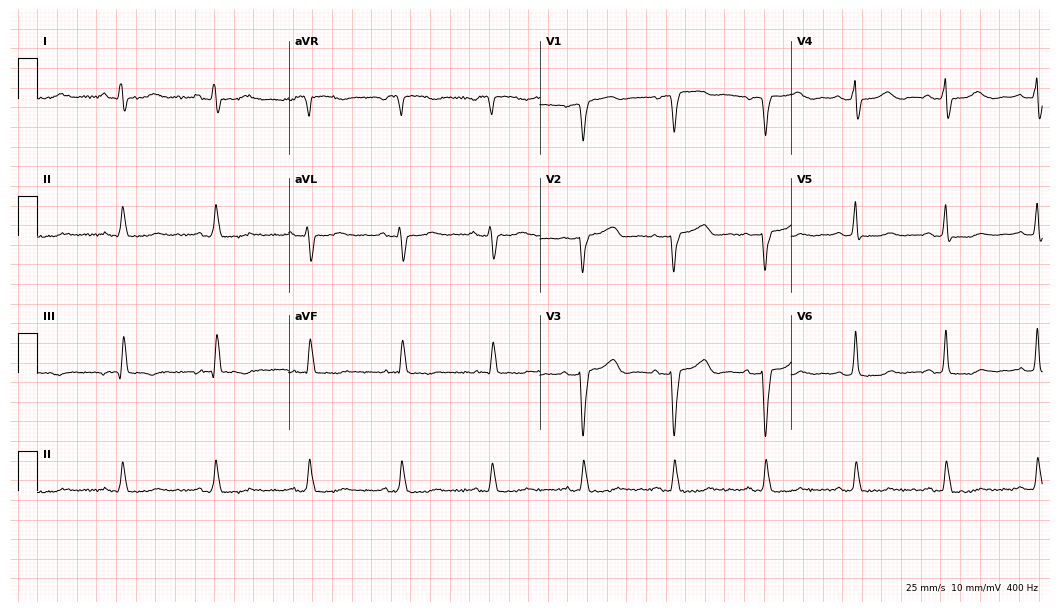
12-lead ECG from a 79-year-old female patient. No first-degree AV block, right bundle branch block, left bundle branch block, sinus bradycardia, atrial fibrillation or sinus tachycardia recorded for this tracing. Only these six findings were labelled.